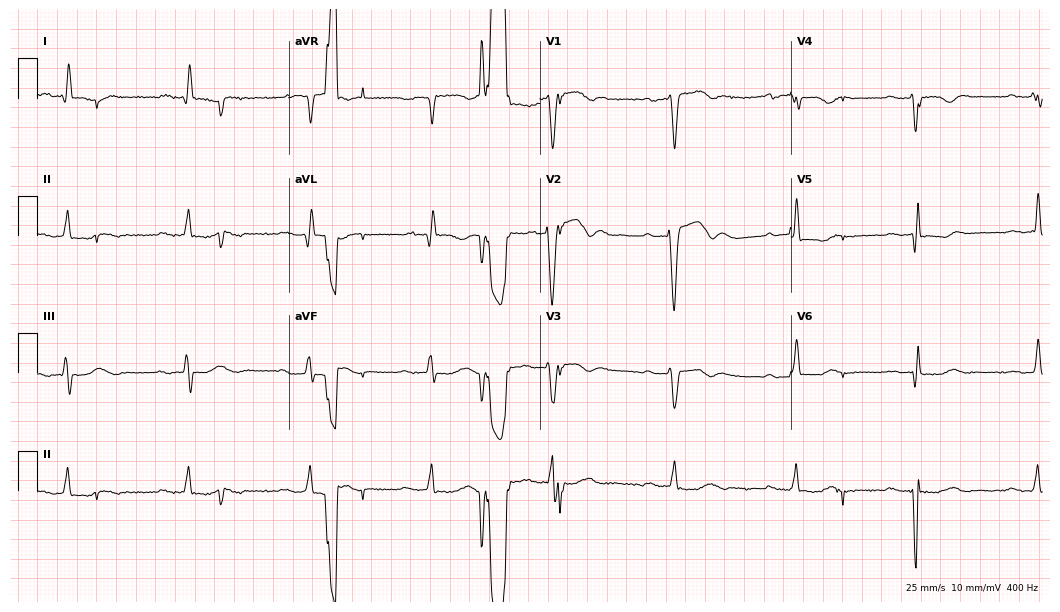
12-lead ECG (10.2-second recording at 400 Hz) from a 64-year-old male. Screened for six findings — first-degree AV block, right bundle branch block, left bundle branch block, sinus bradycardia, atrial fibrillation, sinus tachycardia — none is recorded.